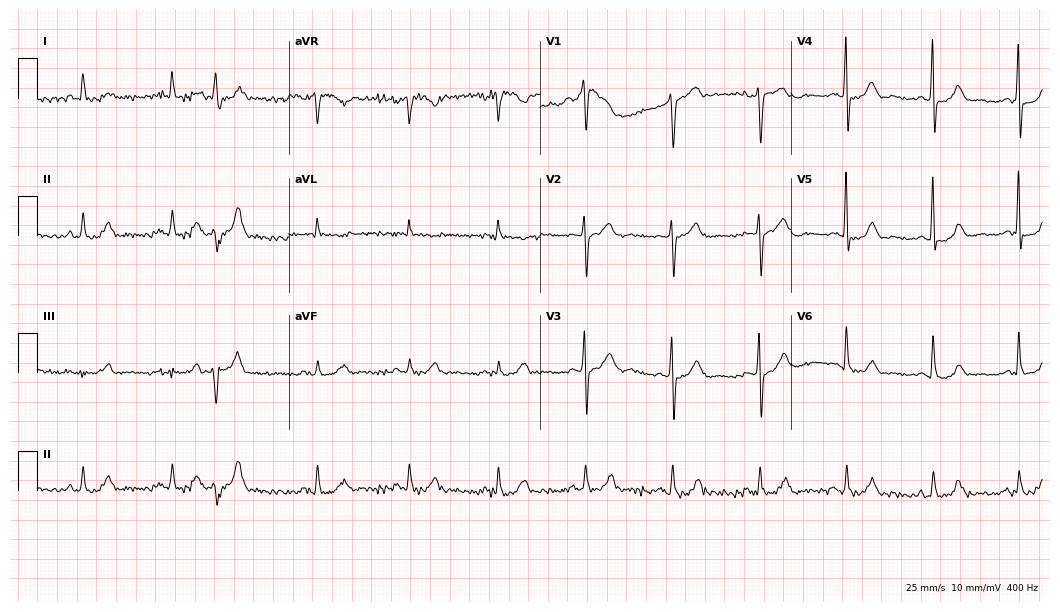
ECG — a man, 72 years old. Screened for six findings — first-degree AV block, right bundle branch block (RBBB), left bundle branch block (LBBB), sinus bradycardia, atrial fibrillation (AF), sinus tachycardia — none is recorded. Other findings, if any, are not listed.